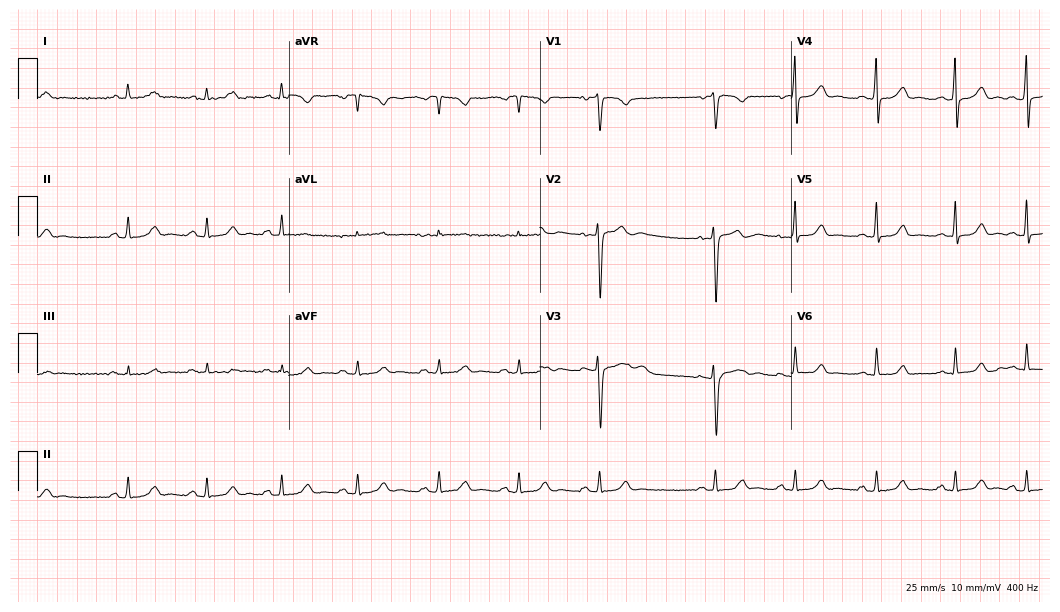
12-lead ECG from a 25-year-old woman. No first-degree AV block, right bundle branch block (RBBB), left bundle branch block (LBBB), sinus bradycardia, atrial fibrillation (AF) or sinus tachycardia recorded for this tracing.